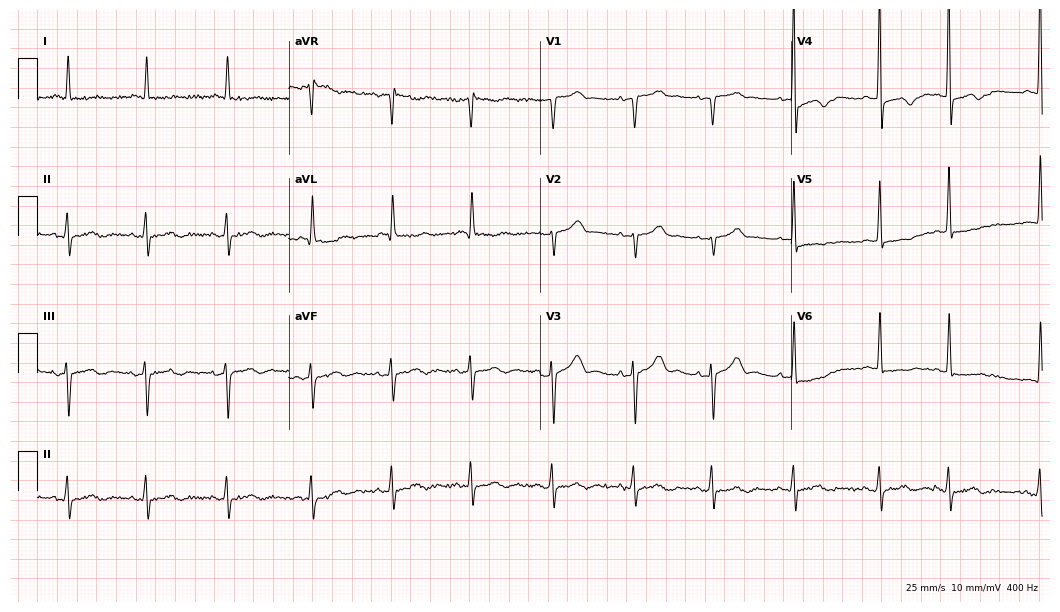
Electrocardiogram (10.2-second recording at 400 Hz), a 71-year-old female. Of the six screened findings (first-degree AV block, right bundle branch block (RBBB), left bundle branch block (LBBB), sinus bradycardia, atrial fibrillation (AF), sinus tachycardia), none is recorded.